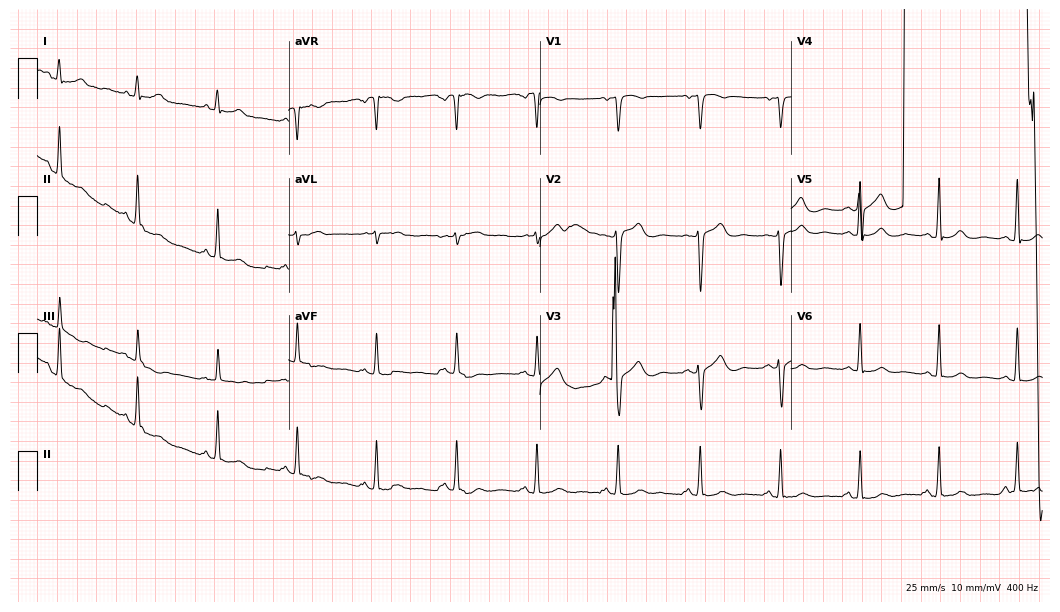
12-lead ECG from a 59-year-old male patient (10.2-second recording at 400 Hz). No first-degree AV block, right bundle branch block, left bundle branch block, sinus bradycardia, atrial fibrillation or sinus tachycardia recorded for this tracing.